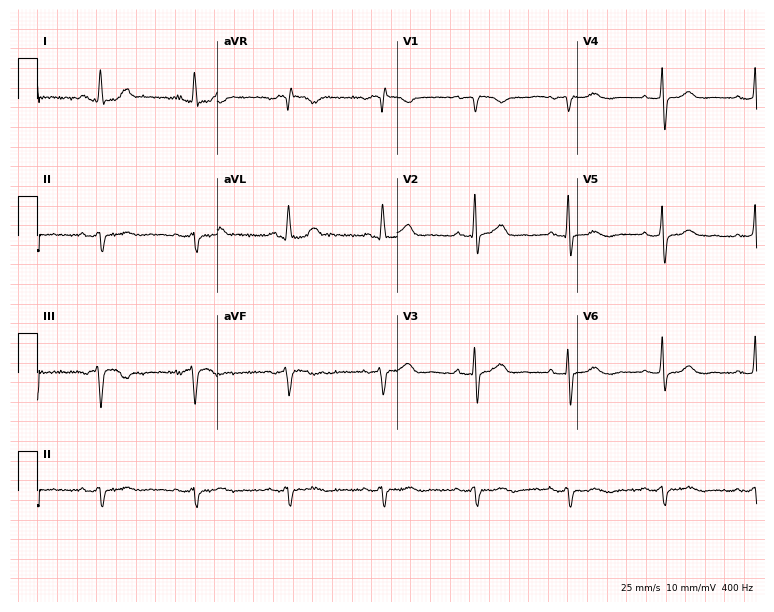
Resting 12-lead electrocardiogram. Patient: a 72-year-old female. None of these six findings is recorded: first-degree AV block, right bundle branch block, left bundle branch block, sinus bradycardia, atrial fibrillation, sinus tachycardia. Findings outside these six are not listed.